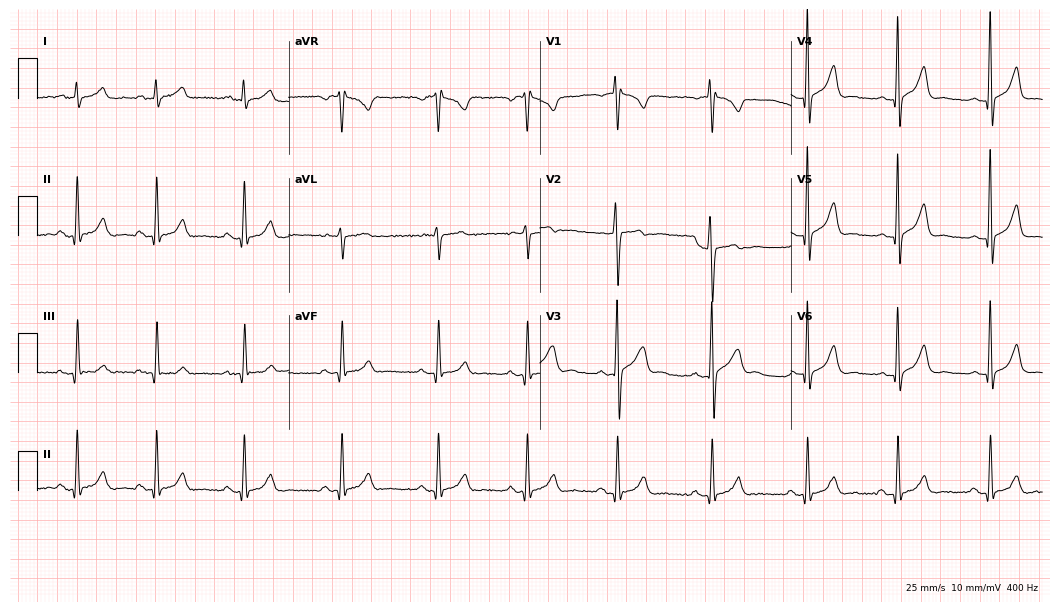
Electrocardiogram, a 22-year-old man. Overall reading on record: normal ECG.